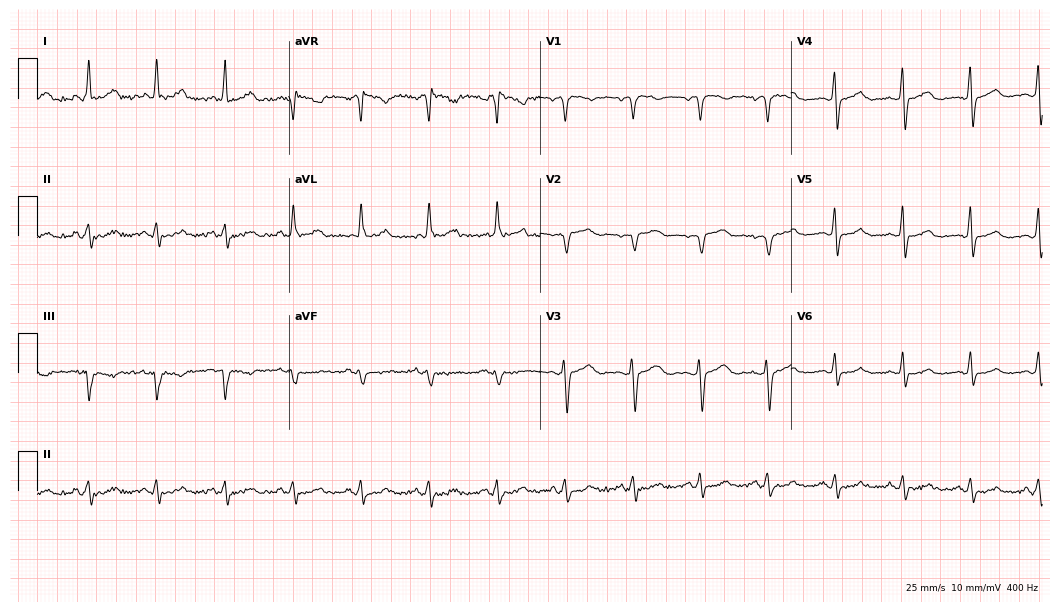
ECG (10.2-second recording at 400 Hz) — a woman, 53 years old. Screened for six findings — first-degree AV block, right bundle branch block (RBBB), left bundle branch block (LBBB), sinus bradycardia, atrial fibrillation (AF), sinus tachycardia — none is recorded.